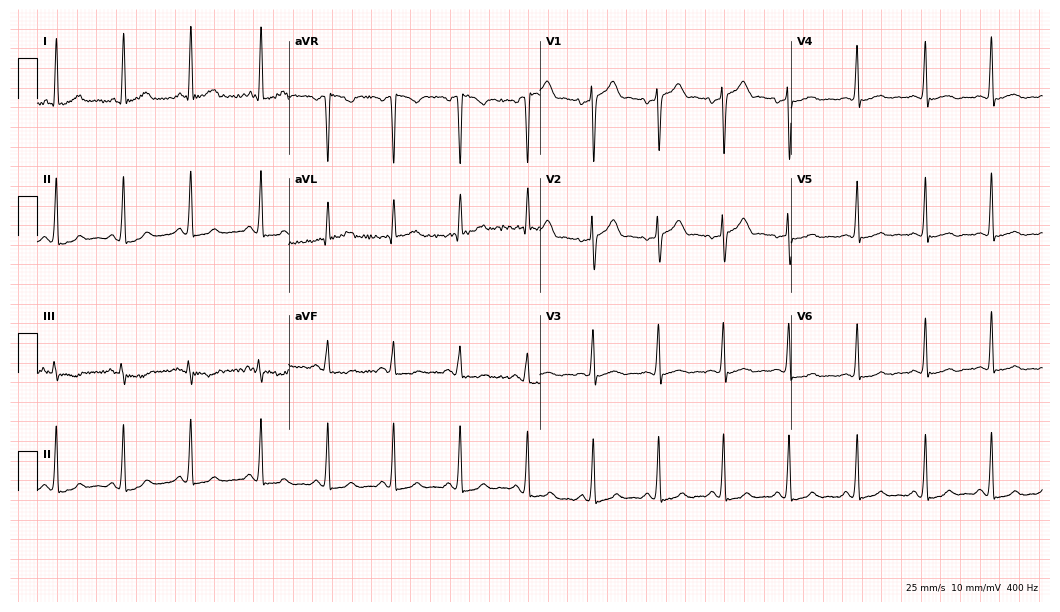
Electrocardiogram, a female patient, 35 years old. Overall reading on record: normal ECG.